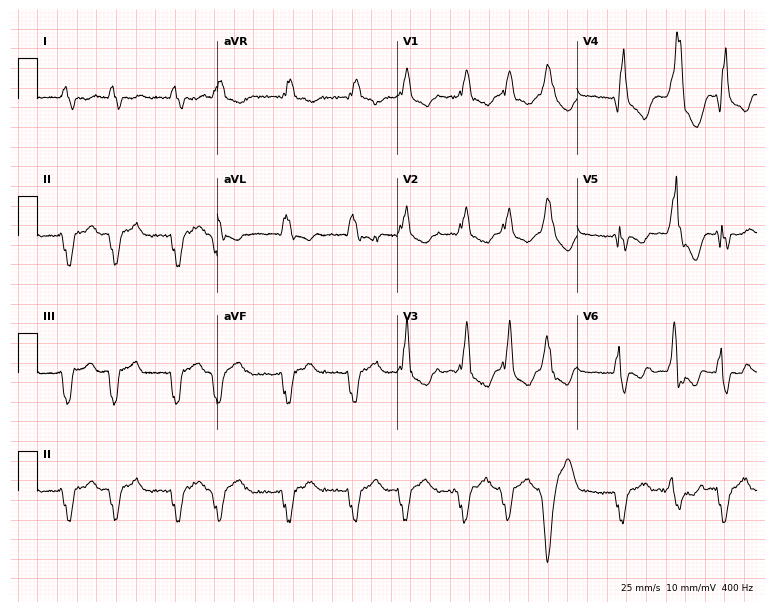
Standard 12-lead ECG recorded from a 63-year-old male (7.3-second recording at 400 Hz). The tracing shows right bundle branch block, atrial fibrillation.